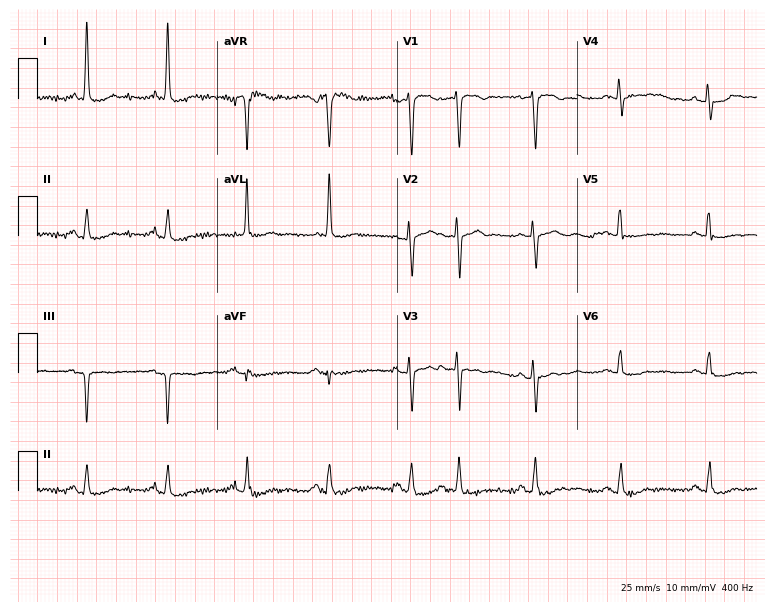
Standard 12-lead ECG recorded from a female patient, 59 years old (7.3-second recording at 400 Hz). None of these six findings is recorded: first-degree AV block, right bundle branch block, left bundle branch block, sinus bradycardia, atrial fibrillation, sinus tachycardia.